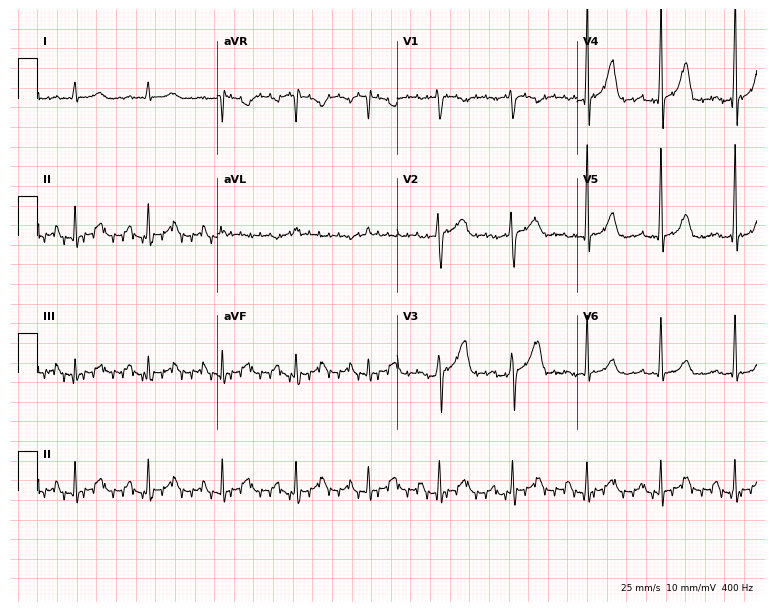
Resting 12-lead electrocardiogram (7.3-second recording at 400 Hz). Patient: a woman, 51 years old. None of these six findings is recorded: first-degree AV block, right bundle branch block (RBBB), left bundle branch block (LBBB), sinus bradycardia, atrial fibrillation (AF), sinus tachycardia.